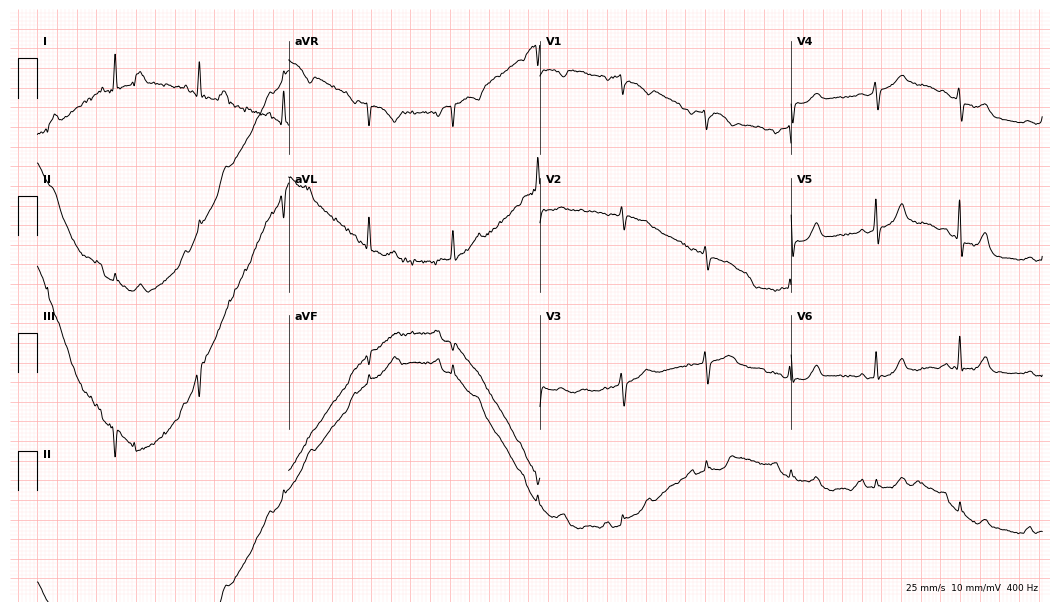
Electrocardiogram (10.2-second recording at 400 Hz), a female, 79 years old. Of the six screened findings (first-degree AV block, right bundle branch block, left bundle branch block, sinus bradycardia, atrial fibrillation, sinus tachycardia), none is recorded.